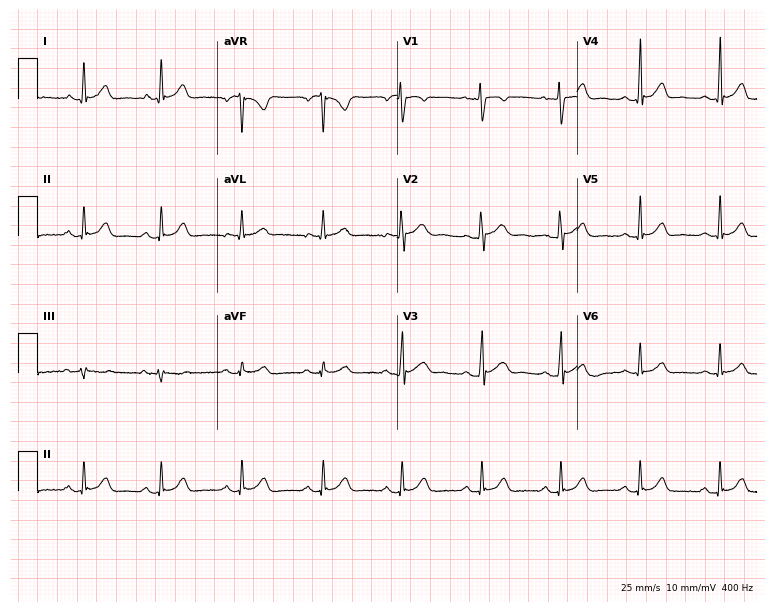
12-lead ECG (7.3-second recording at 400 Hz) from a male patient, 25 years old. Labelled as a normal ECG.